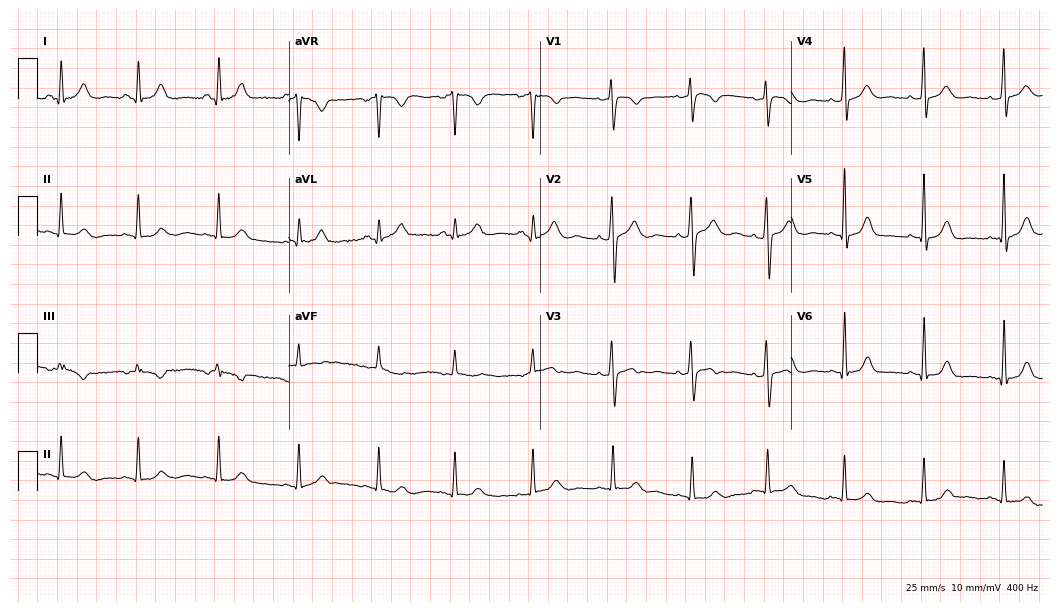
12-lead ECG (10.2-second recording at 400 Hz) from a woman, 35 years old. Screened for six findings — first-degree AV block, right bundle branch block (RBBB), left bundle branch block (LBBB), sinus bradycardia, atrial fibrillation (AF), sinus tachycardia — none is recorded.